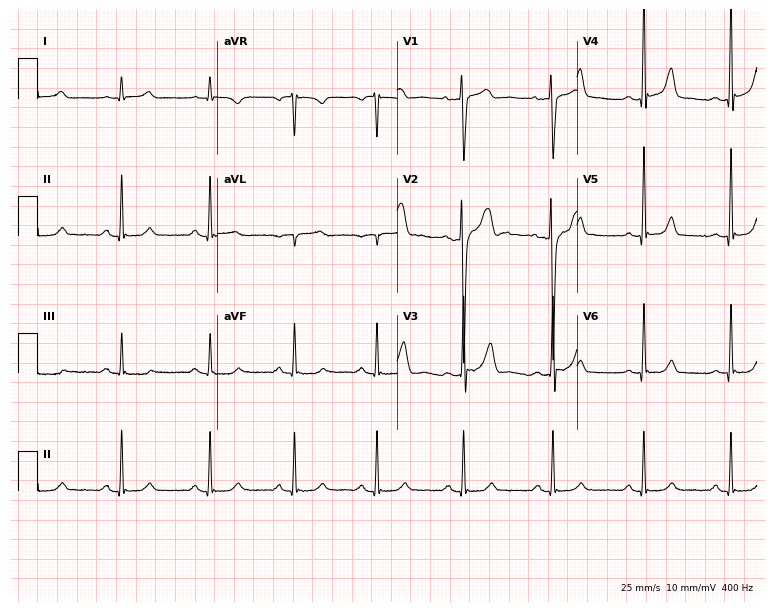
12-lead ECG (7.3-second recording at 400 Hz) from a 31-year-old male patient. Screened for six findings — first-degree AV block, right bundle branch block, left bundle branch block, sinus bradycardia, atrial fibrillation, sinus tachycardia — none is recorded. Findings outside these six are not listed.